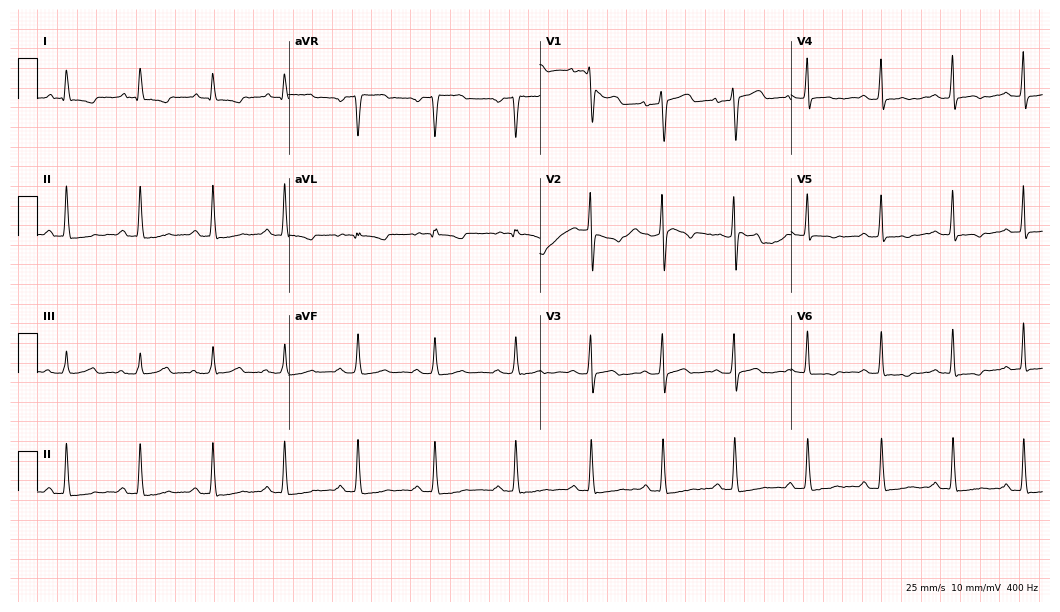
ECG — a female patient, 34 years old. Screened for six findings — first-degree AV block, right bundle branch block, left bundle branch block, sinus bradycardia, atrial fibrillation, sinus tachycardia — none is recorded. Only these six findings were labelled.